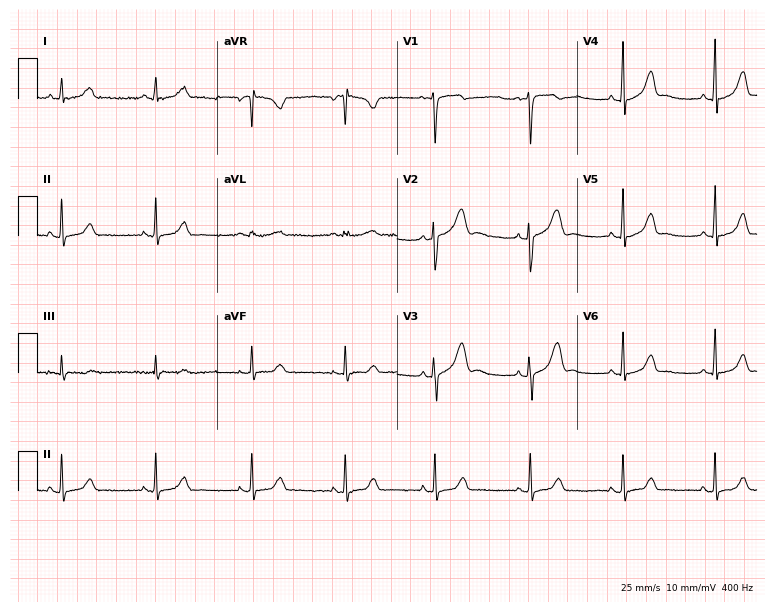
Resting 12-lead electrocardiogram (7.3-second recording at 400 Hz). Patient: a 25-year-old woman. None of these six findings is recorded: first-degree AV block, right bundle branch block, left bundle branch block, sinus bradycardia, atrial fibrillation, sinus tachycardia.